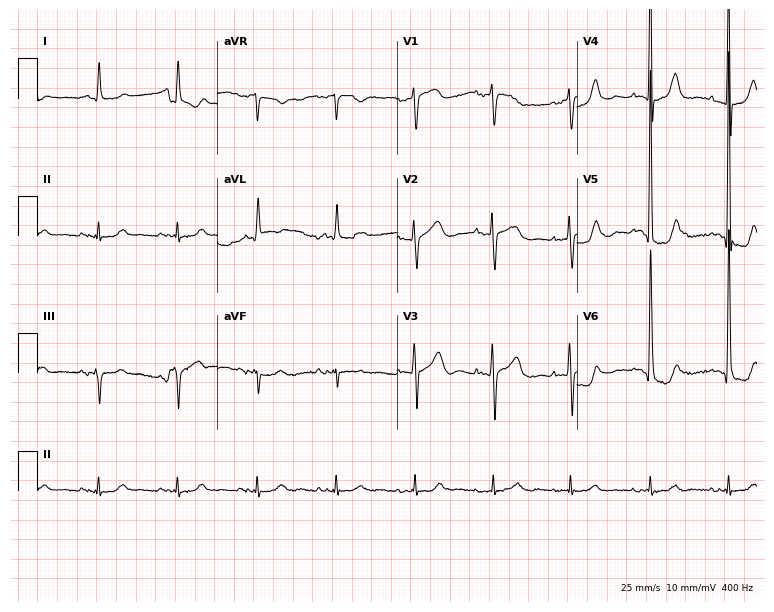
ECG (7.3-second recording at 400 Hz) — a 70-year-old man. Screened for six findings — first-degree AV block, right bundle branch block (RBBB), left bundle branch block (LBBB), sinus bradycardia, atrial fibrillation (AF), sinus tachycardia — none is recorded. Only these six findings were labelled.